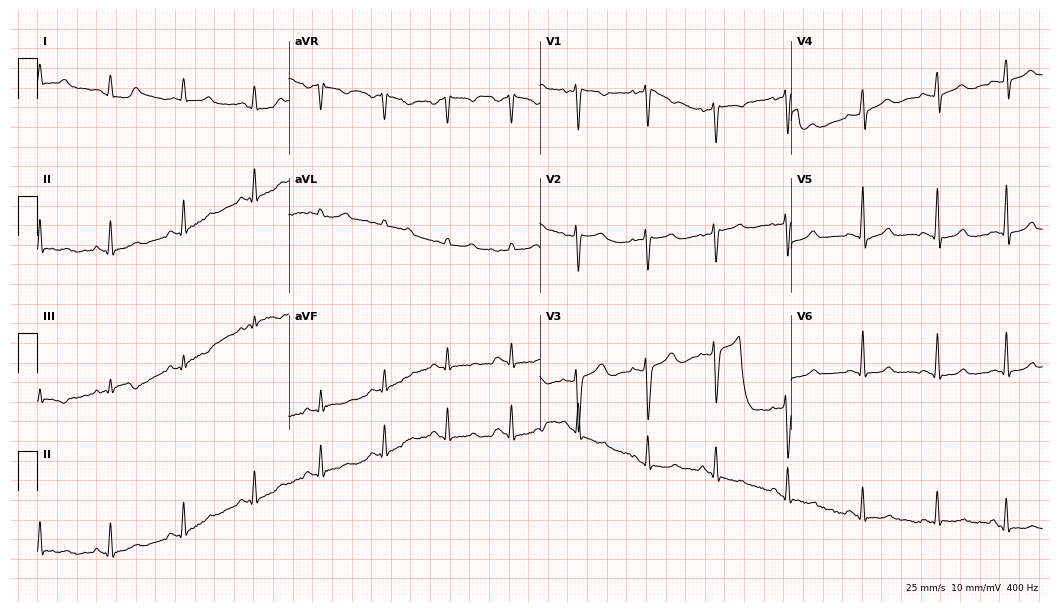
Electrocardiogram (10.2-second recording at 400 Hz), a 31-year-old woman. Of the six screened findings (first-degree AV block, right bundle branch block (RBBB), left bundle branch block (LBBB), sinus bradycardia, atrial fibrillation (AF), sinus tachycardia), none is recorded.